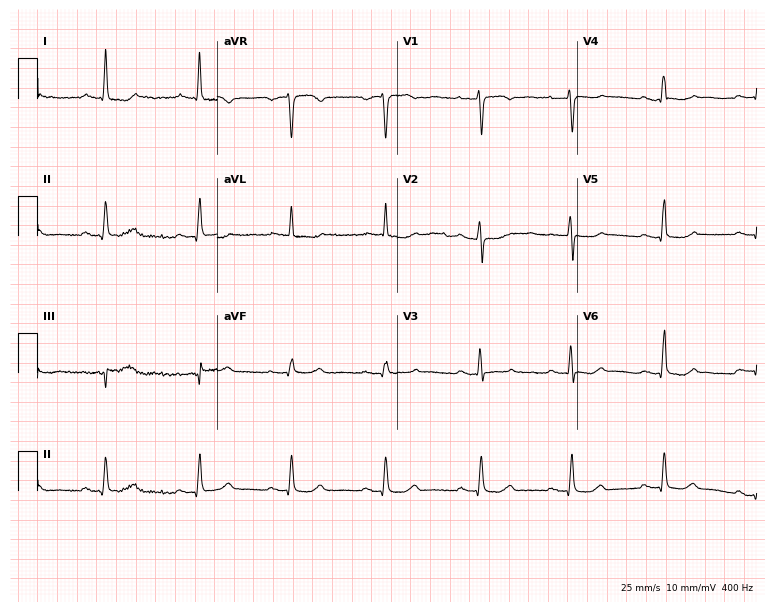
Resting 12-lead electrocardiogram (7.3-second recording at 400 Hz). Patient: a woman, 62 years old. None of these six findings is recorded: first-degree AV block, right bundle branch block, left bundle branch block, sinus bradycardia, atrial fibrillation, sinus tachycardia.